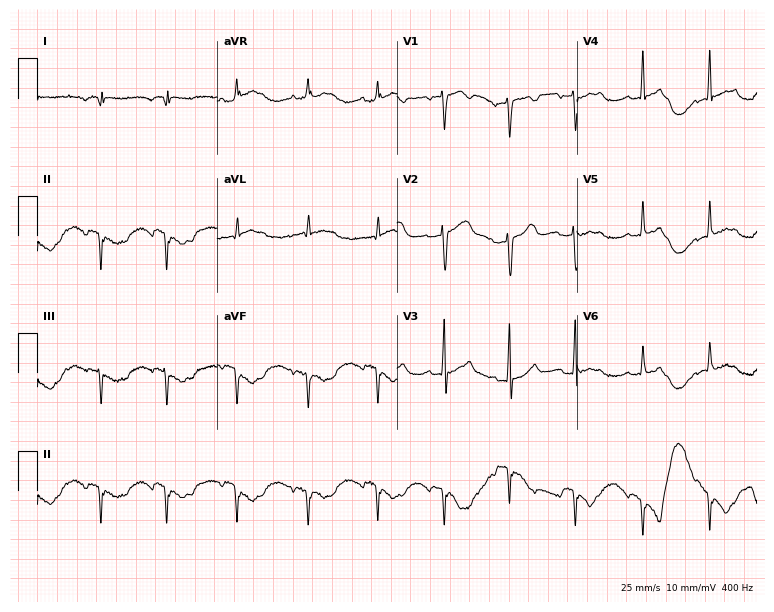
Resting 12-lead electrocardiogram (7.3-second recording at 400 Hz). Patient: a female, 46 years old. None of these six findings is recorded: first-degree AV block, right bundle branch block, left bundle branch block, sinus bradycardia, atrial fibrillation, sinus tachycardia.